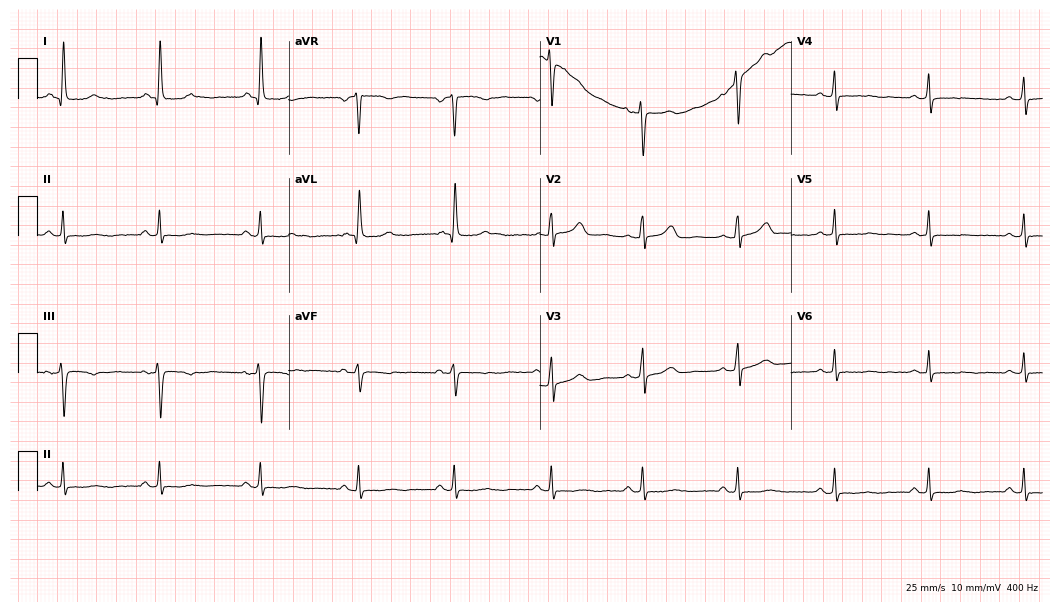
12-lead ECG from a 47-year-old female patient (10.2-second recording at 400 Hz). No first-degree AV block, right bundle branch block, left bundle branch block, sinus bradycardia, atrial fibrillation or sinus tachycardia recorded for this tracing. Findings outside these six are not listed.